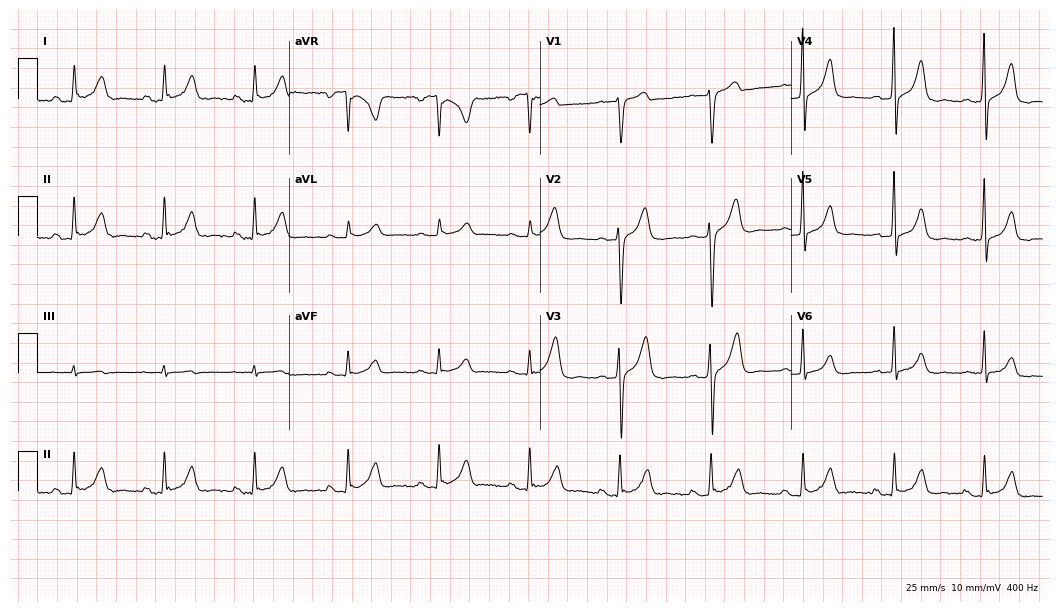
Resting 12-lead electrocardiogram. Patient: a 79-year-old man. Read as a normal ECG.